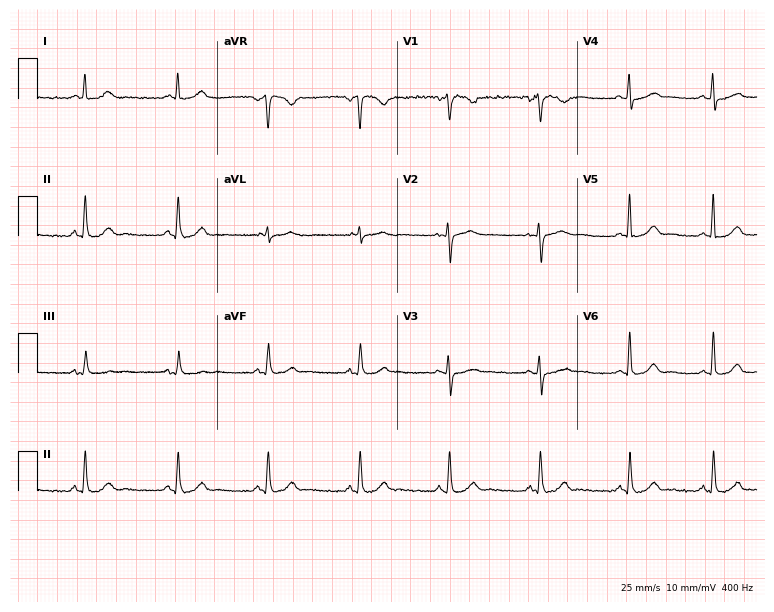
12-lead ECG from a 30-year-old female patient (7.3-second recording at 400 Hz). No first-degree AV block, right bundle branch block, left bundle branch block, sinus bradycardia, atrial fibrillation or sinus tachycardia recorded for this tracing. Findings outside these six are not listed.